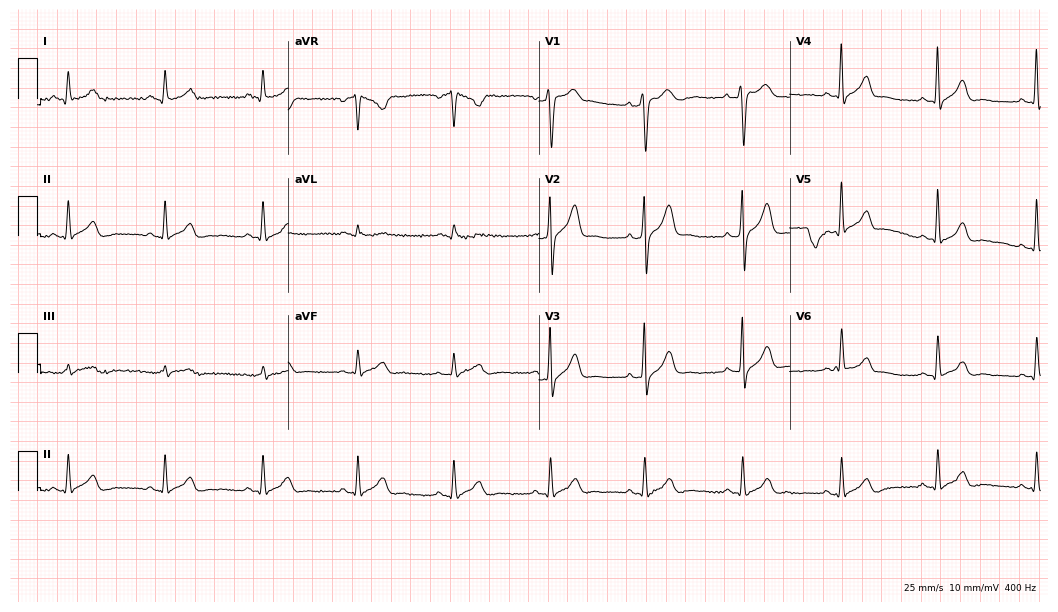
Electrocardiogram, a 41-year-old male. Overall reading on record: normal ECG.